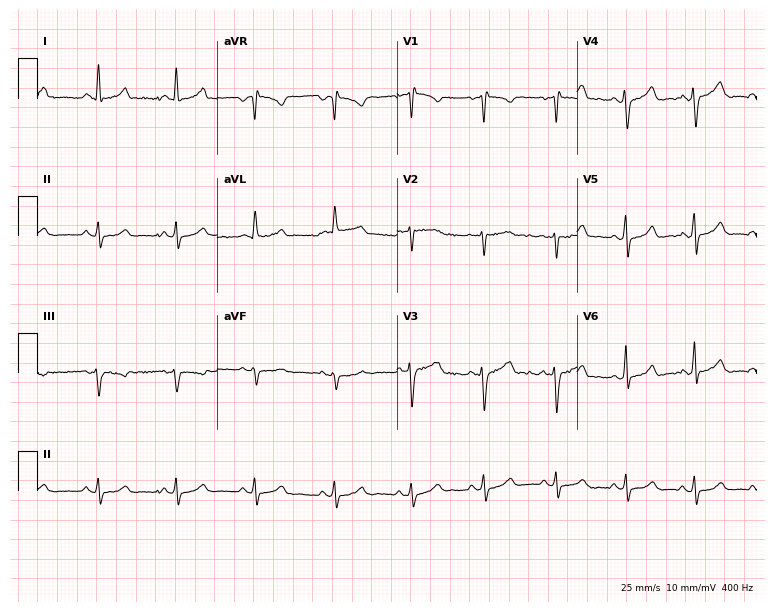
Resting 12-lead electrocardiogram. Patient: a woman, 28 years old. None of these six findings is recorded: first-degree AV block, right bundle branch block, left bundle branch block, sinus bradycardia, atrial fibrillation, sinus tachycardia.